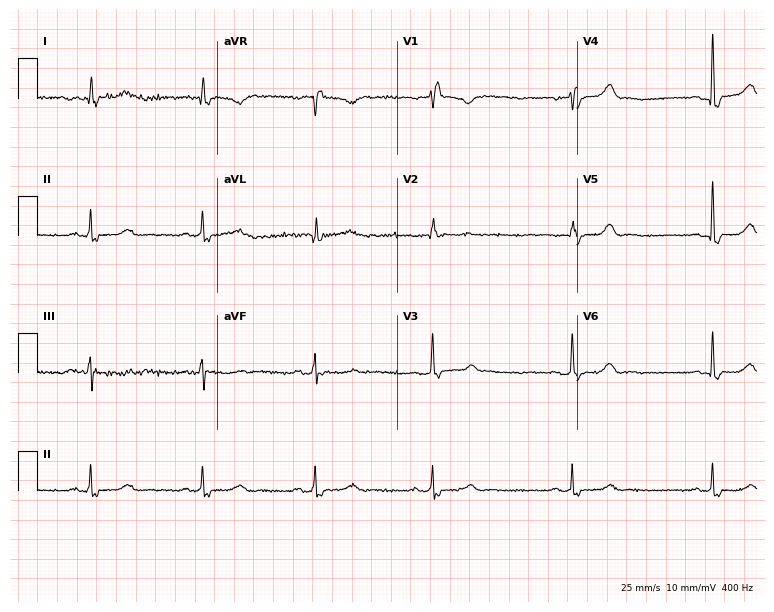
ECG — a 50-year-old female patient. Findings include right bundle branch block, sinus bradycardia (a sinus rate of 50 beats per minute or less).